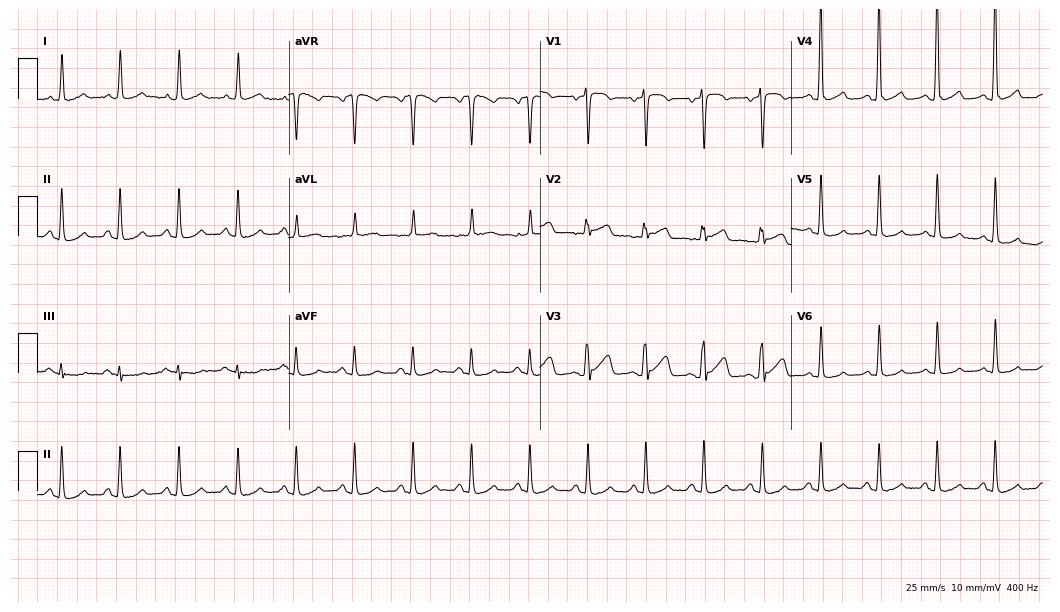
12-lead ECG from a female patient, 72 years old. Screened for six findings — first-degree AV block, right bundle branch block, left bundle branch block, sinus bradycardia, atrial fibrillation, sinus tachycardia — none is recorded. Findings outside these six are not listed.